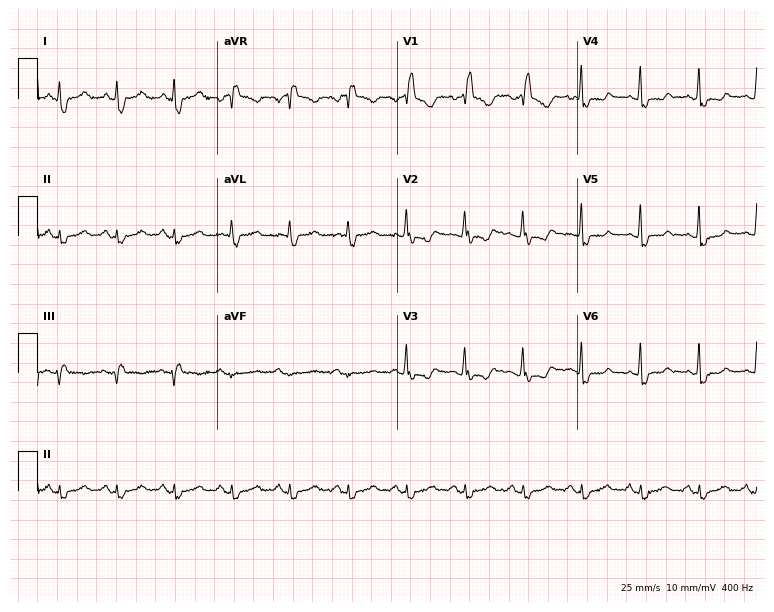
12-lead ECG (7.3-second recording at 400 Hz) from a 44-year-old female patient. Findings include right bundle branch block.